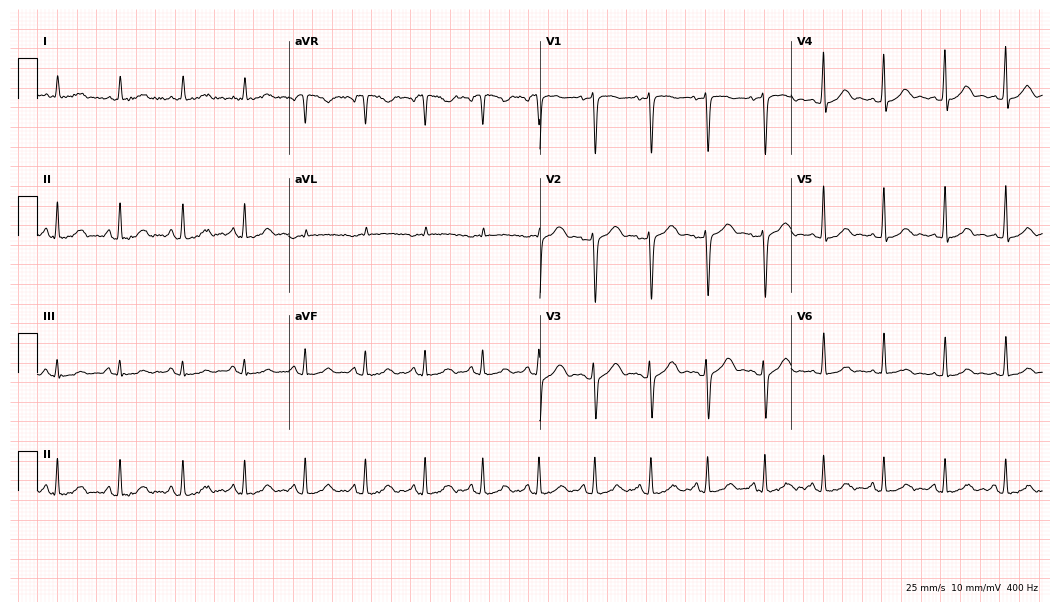
Electrocardiogram, a female, 40 years old. Overall reading on record: normal ECG.